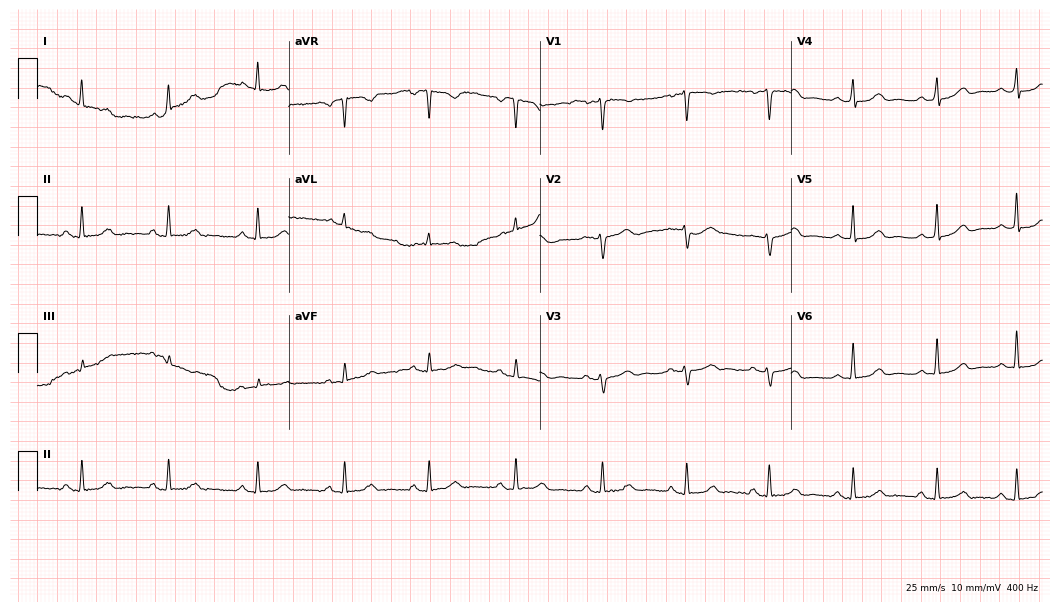
12-lead ECG from a 39-year-old woman. Recorded interpretation: within normal limits.